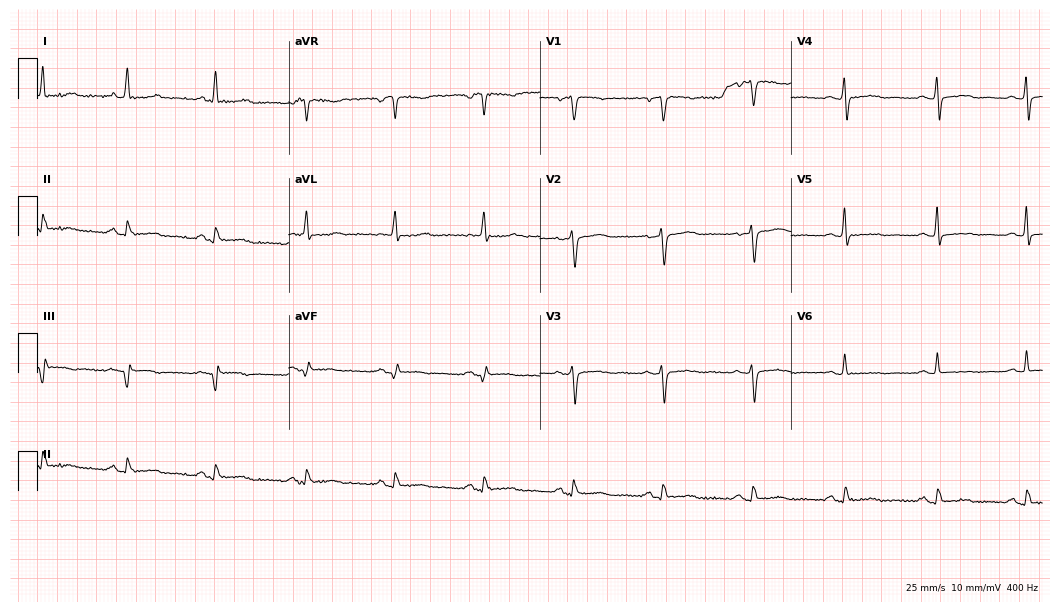
Resting 12-lead electrocardiogram (10.2-second recording at 400 Hz). Patient: a 58-year-old female. None of these six findings is recorded: first-degree AV block, right bundle branch block, left bundle branch block, sinus bradycardia, atrial fibrillation, sinus tachycardia. Only these six findings were labelled.